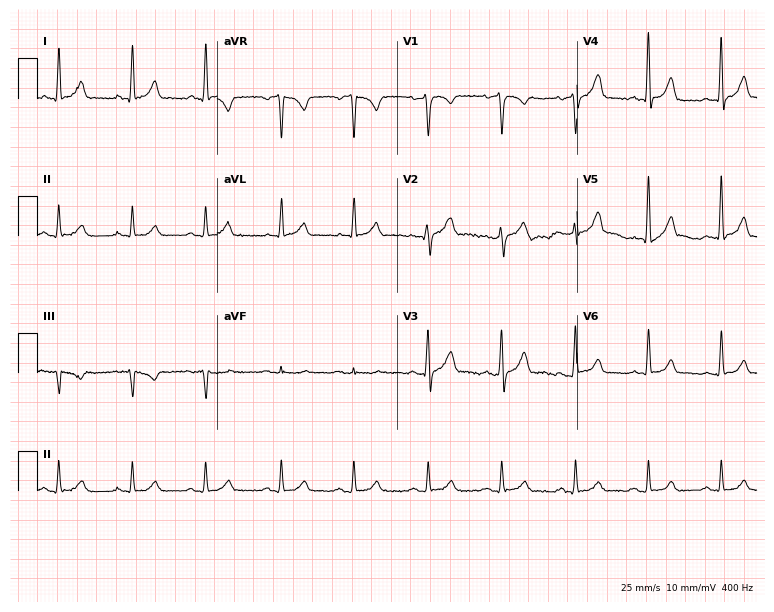
ECG (7.3-second recording at 400 Hz) — a 45-year-old male. Labelled as a normal ECG.